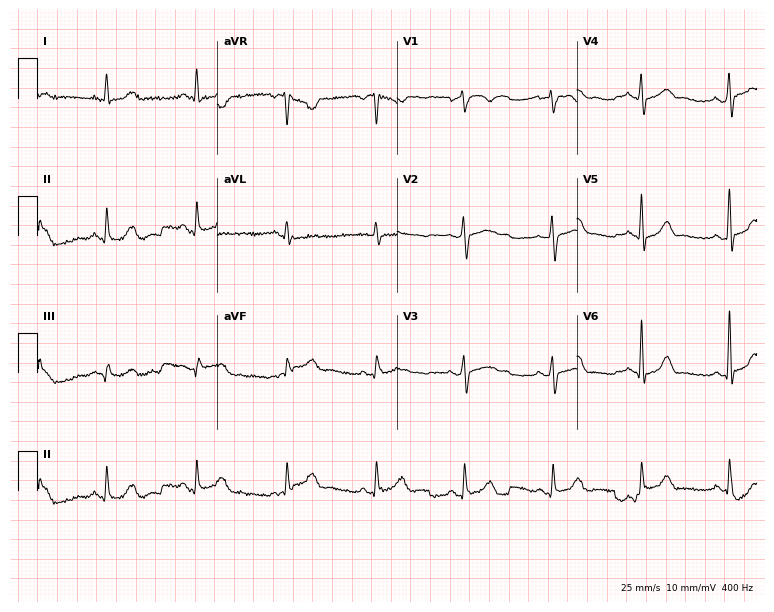
Resting 12-lead electrocardiogram. Patient: a 63-year-old woman. None of these six findings is recorded: first-degree AV block, right bundle branch block (RBBB), left bundle branch block (LBBB), sinus bradycardia, atrial fibrillation (AF), sinus tachycardia.